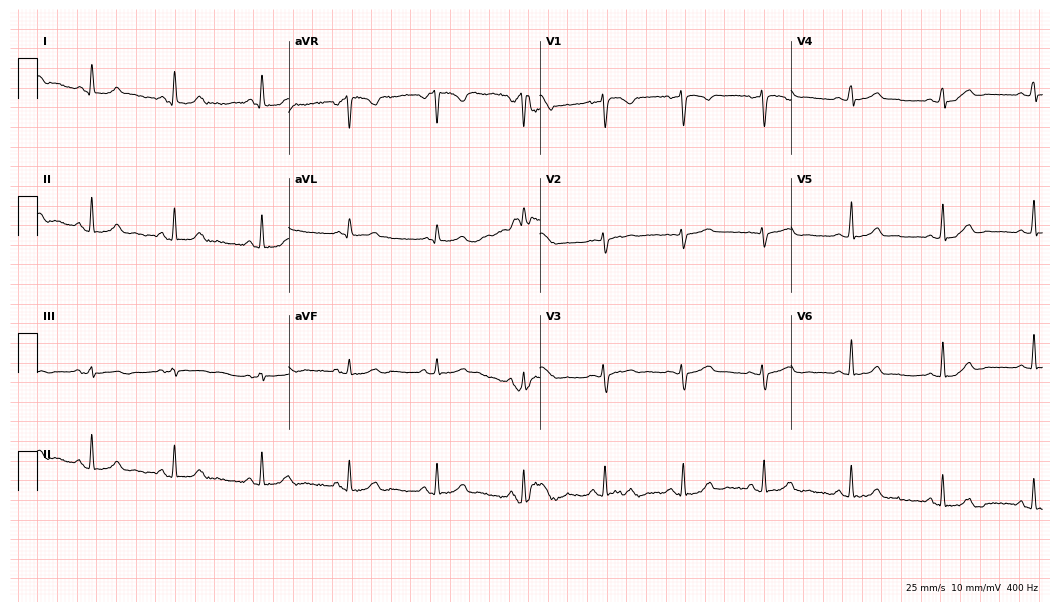
Resting 12-lead electrocardiogram (10.2-second recording at 400 Hz). Patient: a 35-year-old female. Read as a normal ECG.